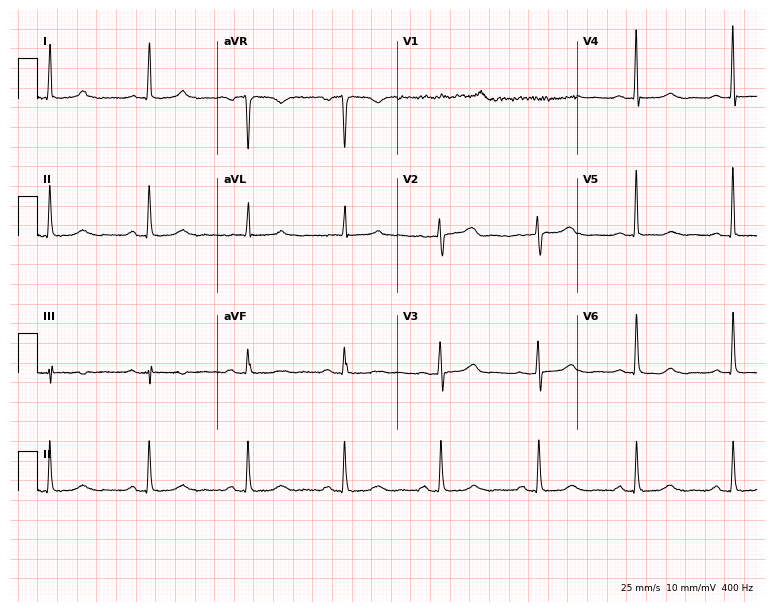
12-lead ECG from a 74-year-old female. Screened for six findings — first-degree AV block, right bundle branch block, left bundle branch block, sinus bradycardia, atrial fibrillation, sinus tachycardia — none is recorded.